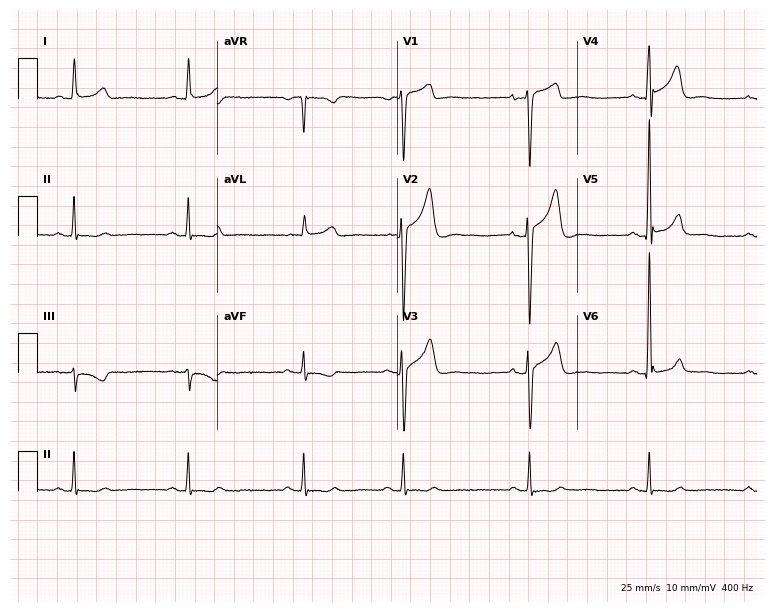
ECG (7.3-second recording at 400 Hz) — a 55-year-old man. Screened for six findings — first-degree AV block, right bundle branch block, left bundle branch block, sinus bradycardia, atrial fibrillation, sinus tachycardia — none is recorded. Only these six findings were labelled.